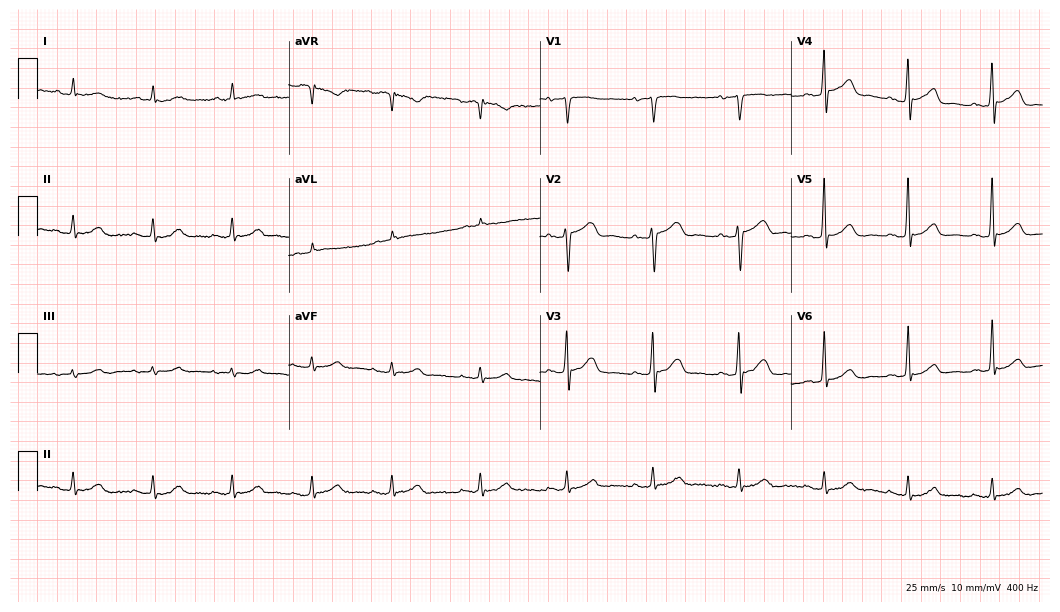
12-lead ECG from a man, 58 years old. Screened for six findings — first-degree AV block, right bundle branch block (RBBB), left bundle branch block (LBBB), sinus bradycardia, atrial fibrillation (AF), sinus tachycardia — none is recorded. Other findings, if any, are not listed.